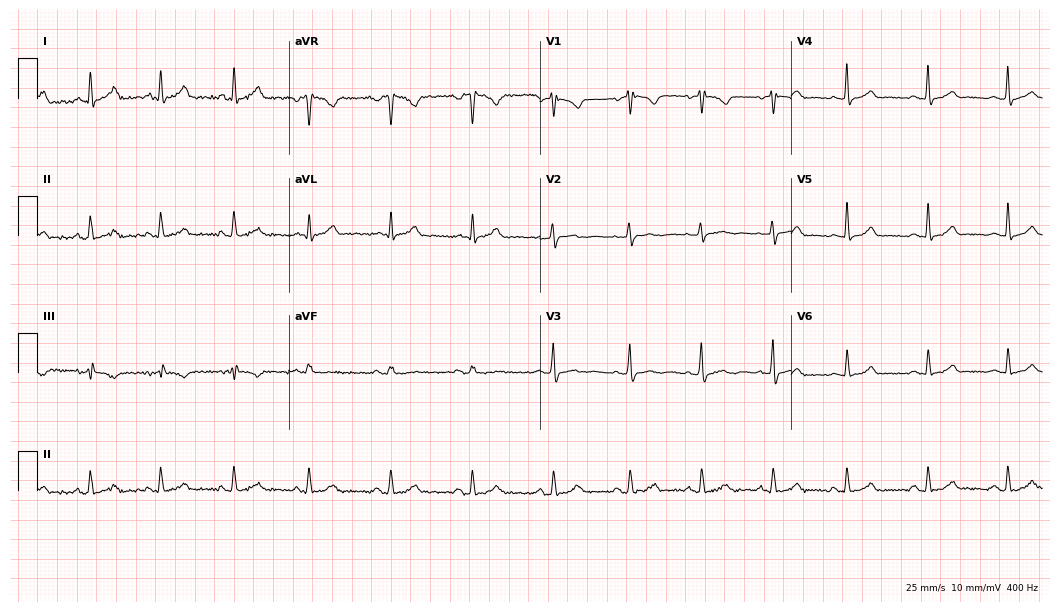
Standard 12-lead ECG recorded from a woman, 29 years old (10.2-second recording at 400 Hz). None of these six findings is recorded: first-degree AV block, right bundle branch block (RBBB), left bundle branch block (LBBB), sinus bradycardia, atrial fibrillation (AF), sinus tachycardia.